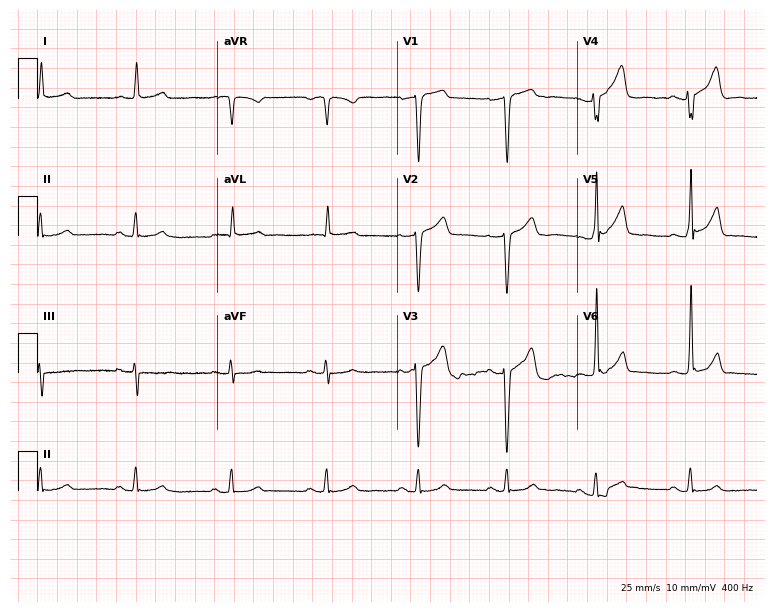
ECG (7.3-second recording at 400 Hz) — a male patient, 48 years old. Labelled as a normal ECG.